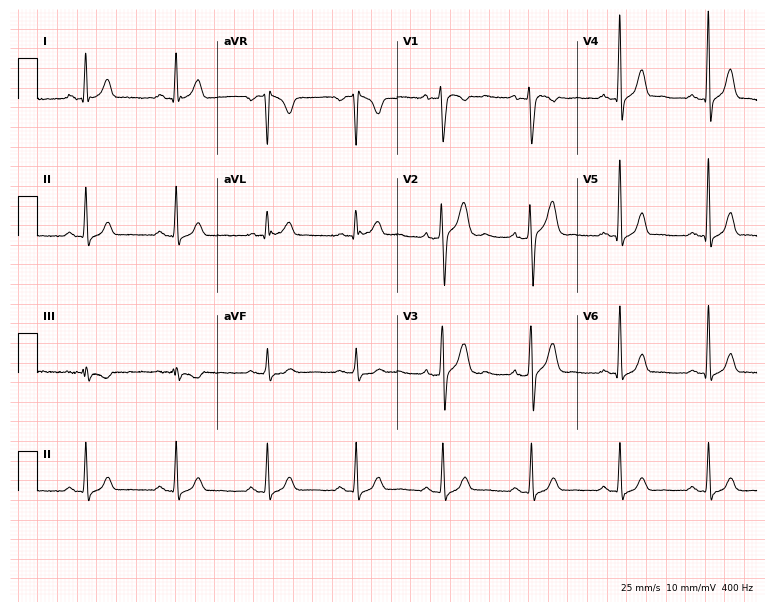
Resting 12-lead electrocardiogram (7.3-second recording at 400 Hz). Patient: a male, 39 years old. Read as a normal ECG.